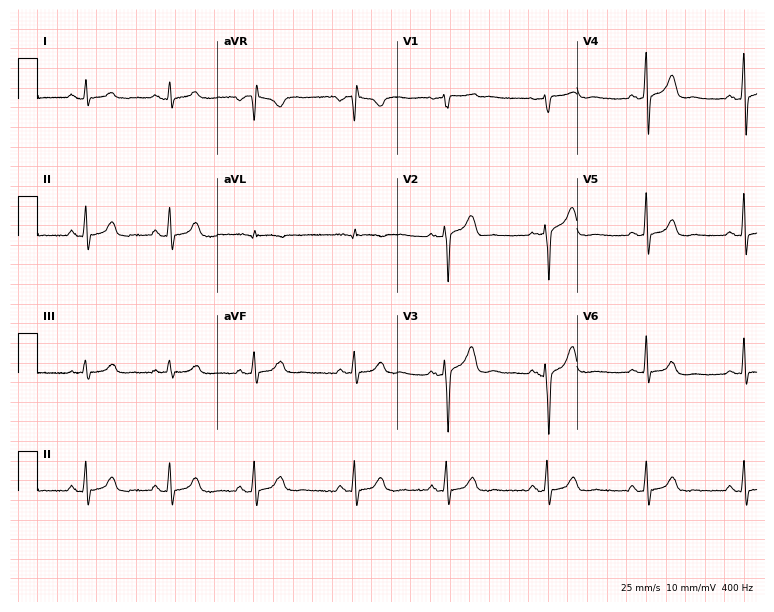
ECG — a female, 26 years old. Labelled as a normal ECG.